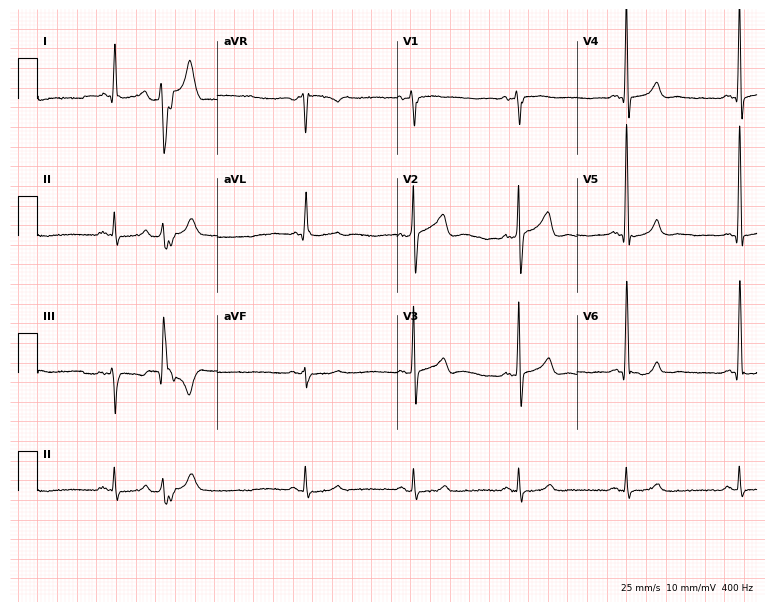
12-lead ECG from a 67-year-old male. No first-degree AV block, right bundle branch block, left bundle branch block, sinus bradycardia, atrial fibrillation or sinus tachycardia recorded for this tracing. Other findings, if any, are not listed.